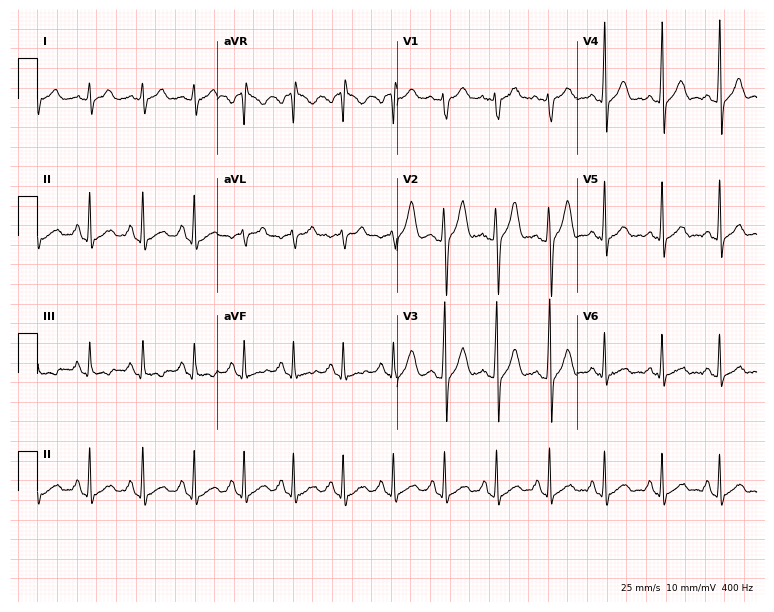
ECG — a male patient, 28 years old. Findings include sinus tachycardia (a sinus rate of 100 beats per minute or more).